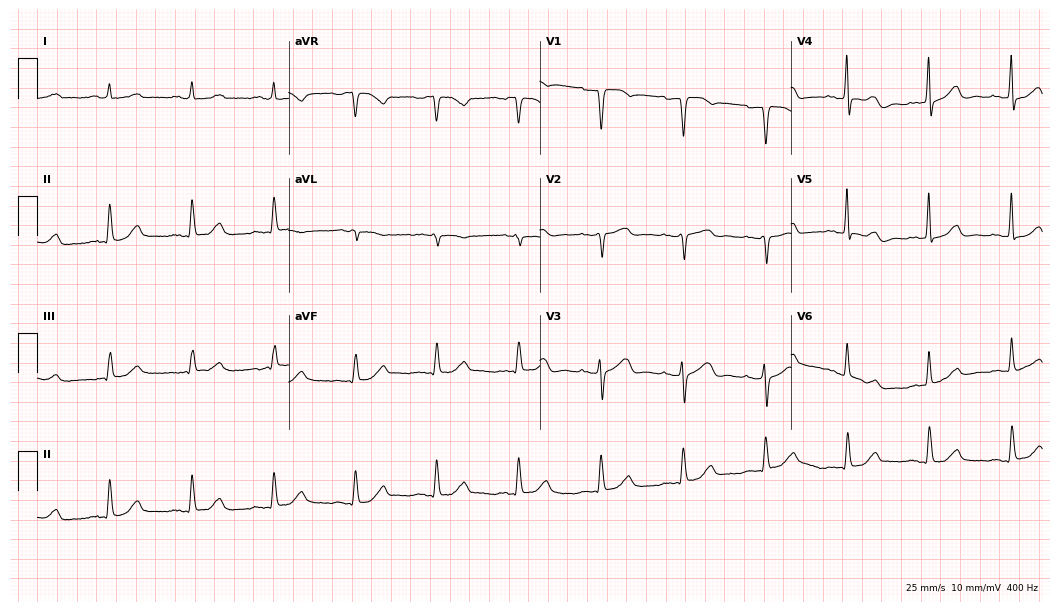
12-lead ECG (10.2-second recording at 400 Hz) from a female patient, 81 years old. Labelled as a normal ECG.